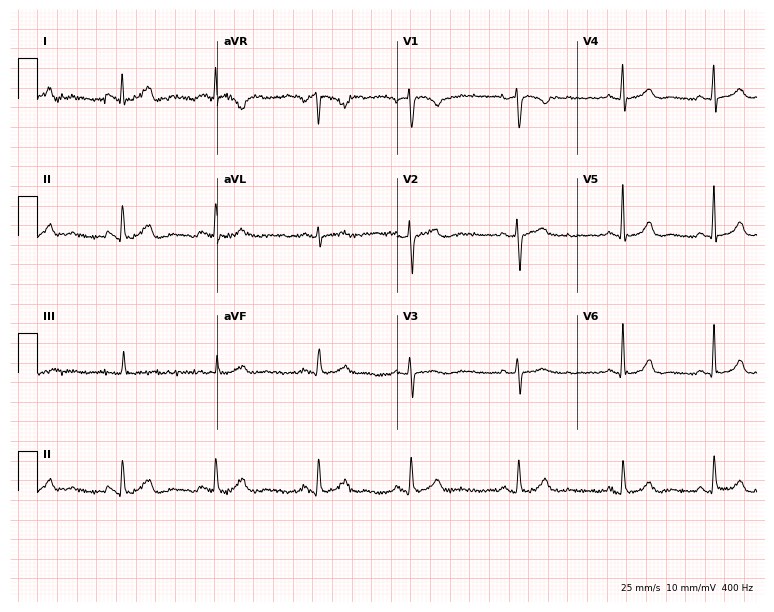
12-lead ECG (7.3-second recording at 400 Hz) from a female, 36 years old. Labelled as a normal ECG.